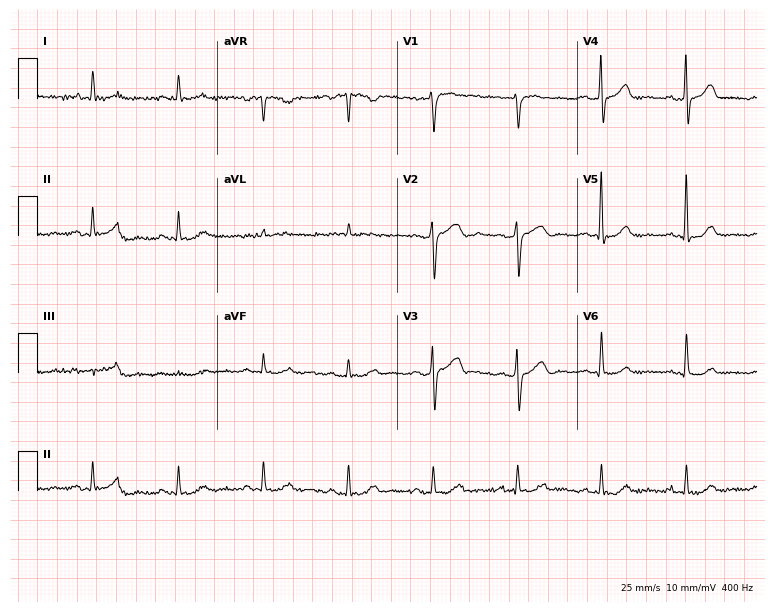
Standard 12-lead ECG recorded from a male, 74 years old. None of these six findings is recorded: first-degree AV block, right bundle branch block, left bundle branch block, sinus bradycardia, atrial fibrillation, sinus tachycardia.